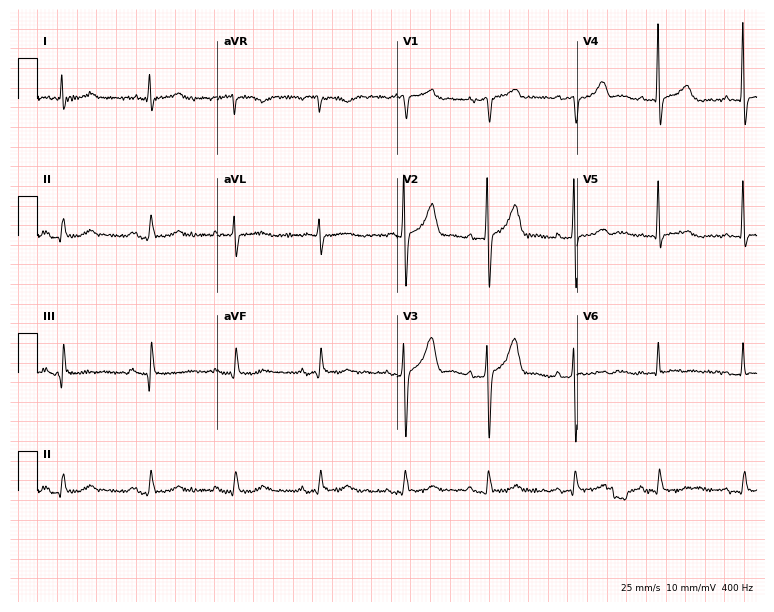
12-lead ECG (7.3-second recording at 400 Hz) from a man, 75 years old. Labelled as a normal ECG.